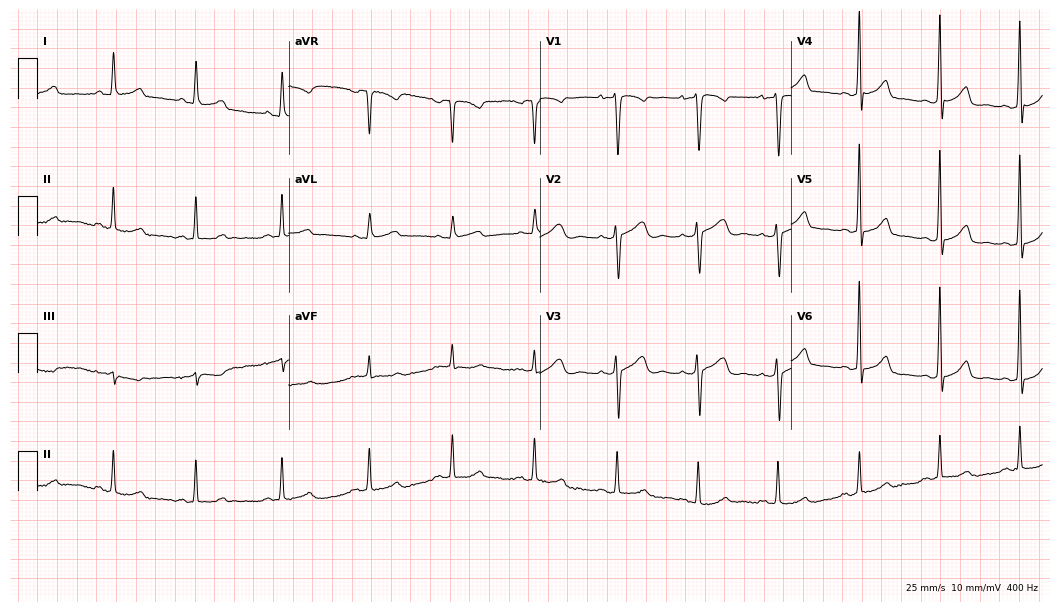
12-lead ECG from a 39-year-old woman (10.2-second recording at 400 Hz). Recorded interpretation: within normal limits.